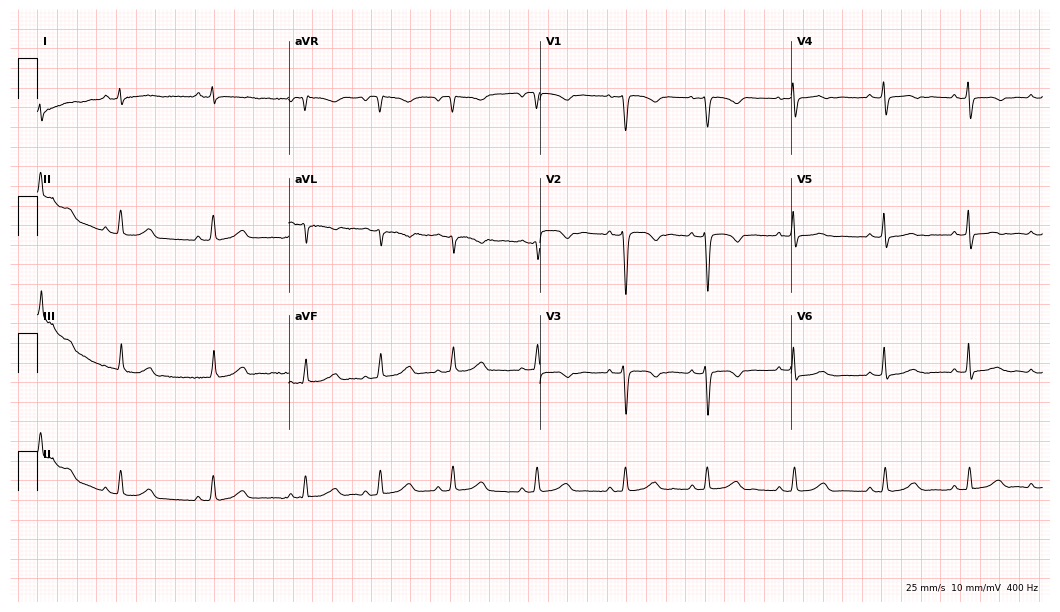
Resting 12-lead electrocardiogram. Patient: a female, 41 years old. Read as a normal ECG.